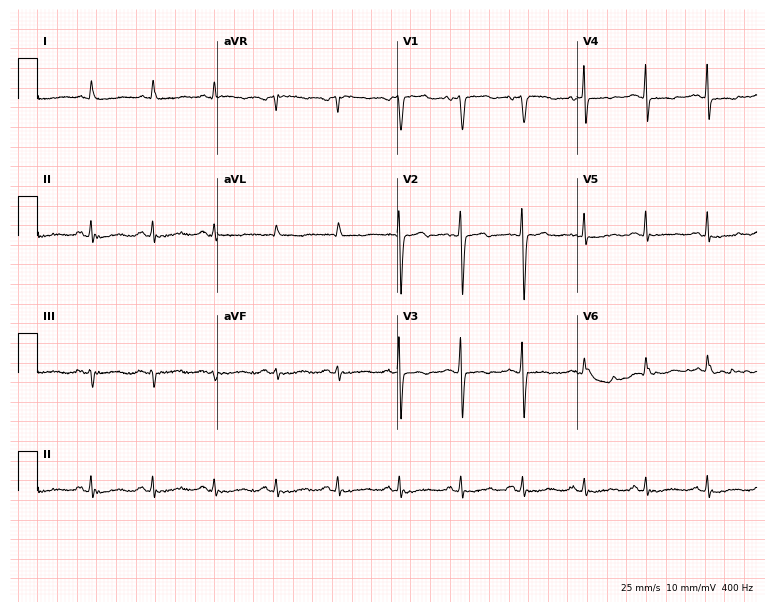
ECG — a 54-year-old female. Screened for six findings — first-degree AV block, right bundle branch block, left bundle branch block, sinus bradycardia, atrial fibrillation, sinus tachycardia — none is recorded.